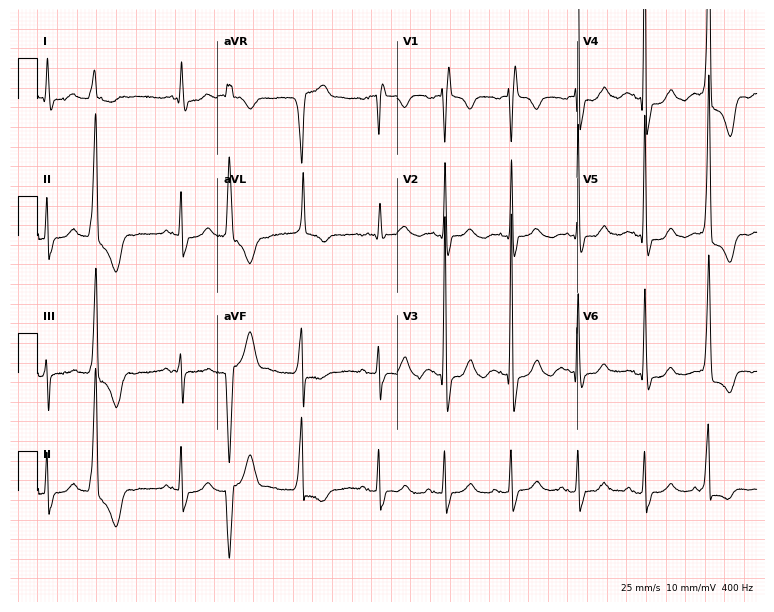
12-lead ECG (7.3-second recording at 400 Hz) from a 72-year-old female. Screened for six findings — first-degree AV block, right bundle branch block, left bundle branch block, sinus bradycardia, atrial fibrillation, sinus tachycardia — none is recorded.